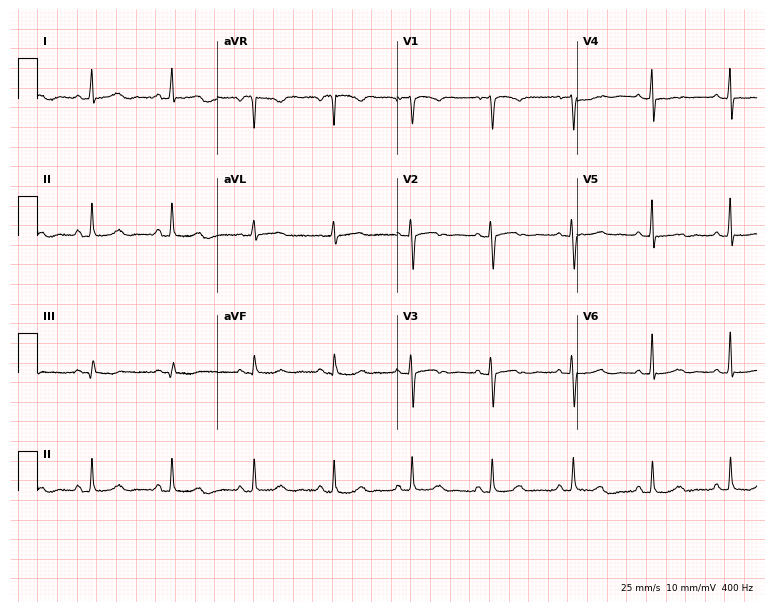
ECG (7.3-second recording at 400 Hz) — a woman, 63 years old. Screened for six findings — first-degree AV block, right bundle branch block, left bundle branch block, sinus bradycardia, atrial fibrillation, sinus tachycardia — none is recorded. Only these six findings were labelled.